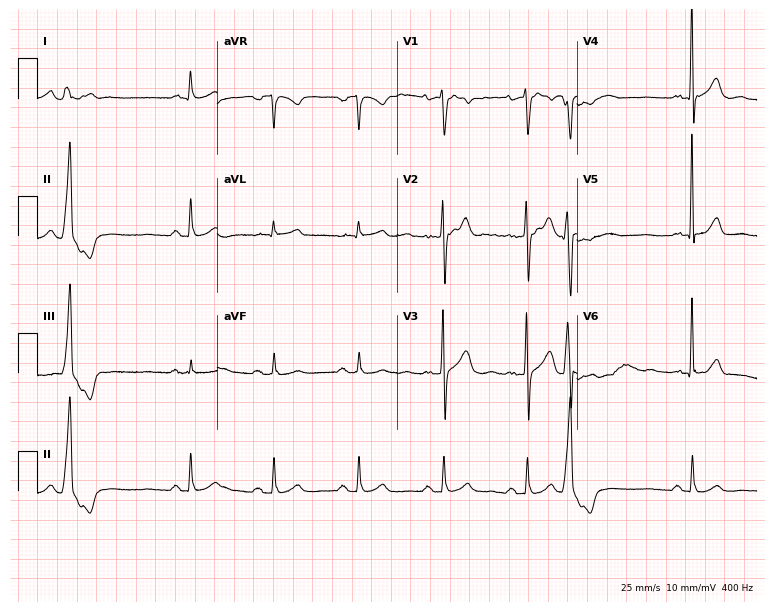
Resting 12-lead electrocardiogram (7.3-second recording at 400 Hz). Patient: a male, 55 years old. None of these six findings is recorded: first-degree AV block, right bundle branch block (RBBB), left bundle branch block (LBBB), sinus bradycardia, atrial fibrillation (AF), sinus tachycardia.